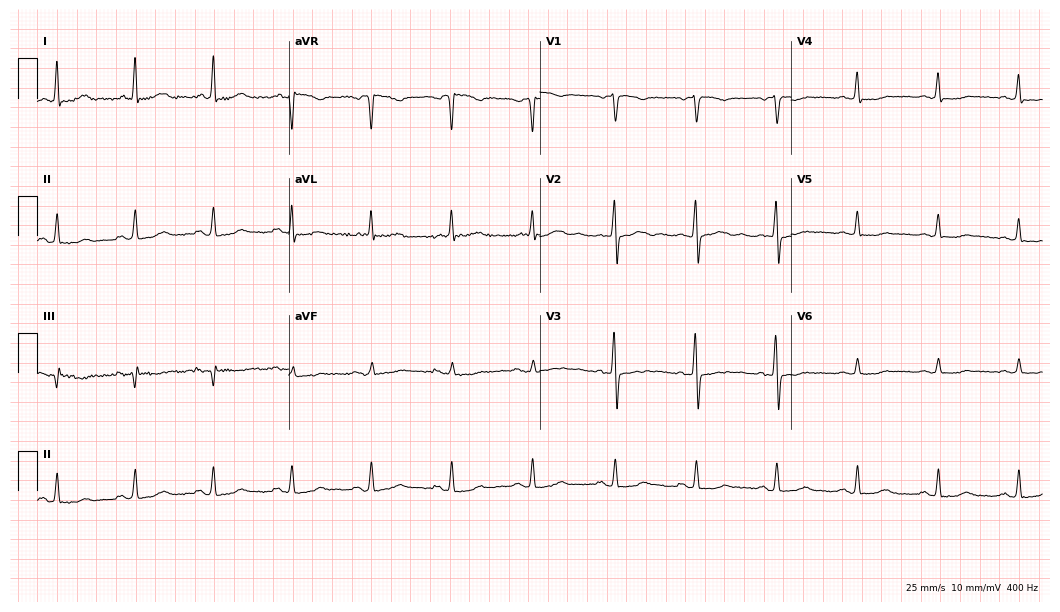
Standard 12-lead ECG recorded from a female patient, 57 years old. None of these six findings is recorded: first-degree AV block, right bundle branch block, left bundle branch block, sinus bradycardia, atrial fibrillation, sinus tachycardia.